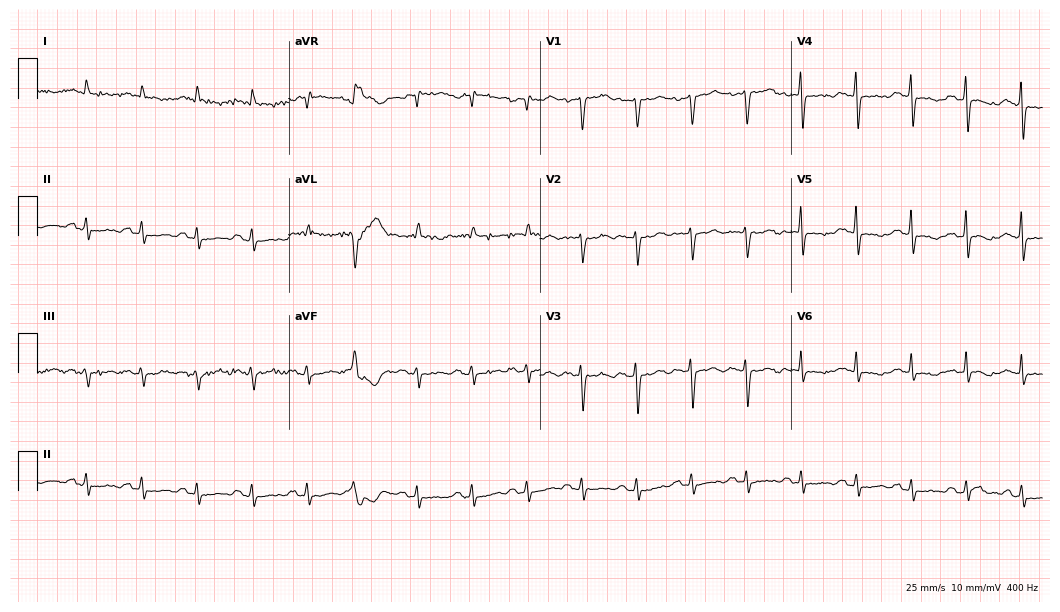
Standard 12-lead ECG recorded from a woman, 74 years old (10.2-second recording at 400 Hz). The tracing shows sinus tachycardia (a sinus rate of 100 beats per minute or more).